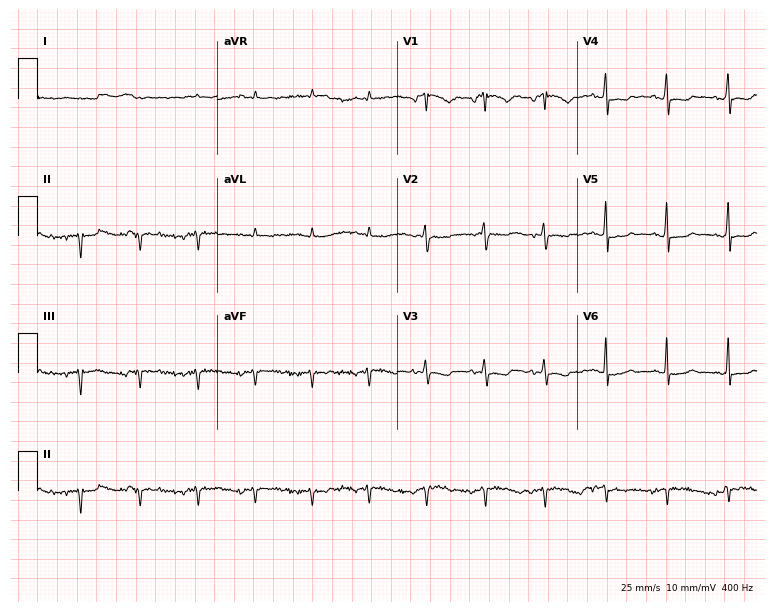
Resting 12-lead electrocardiogram (7.3-second recording at 400 Hz). Patient: a 53-year-old woman. None of these six findings is recorded: first-degree AV block, right bundle branch block, left bundle branch block, sinus bradycardia, atrial fibrillation, sinus tachycardia. Only these six findings were labelled.